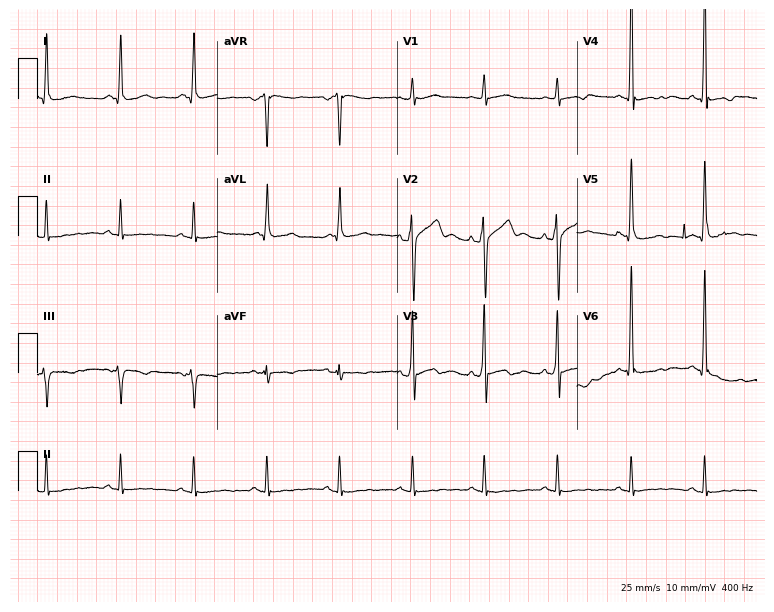
Electrocardiogram, a 40-year-old man. Of the six screened findings (first-degree AV block, right bundle branch block (RBBB), left bundle branch block (LBBB), sinus bradycardia, atrial fibrillation (AF), sinus tachycardia), none is recorded.